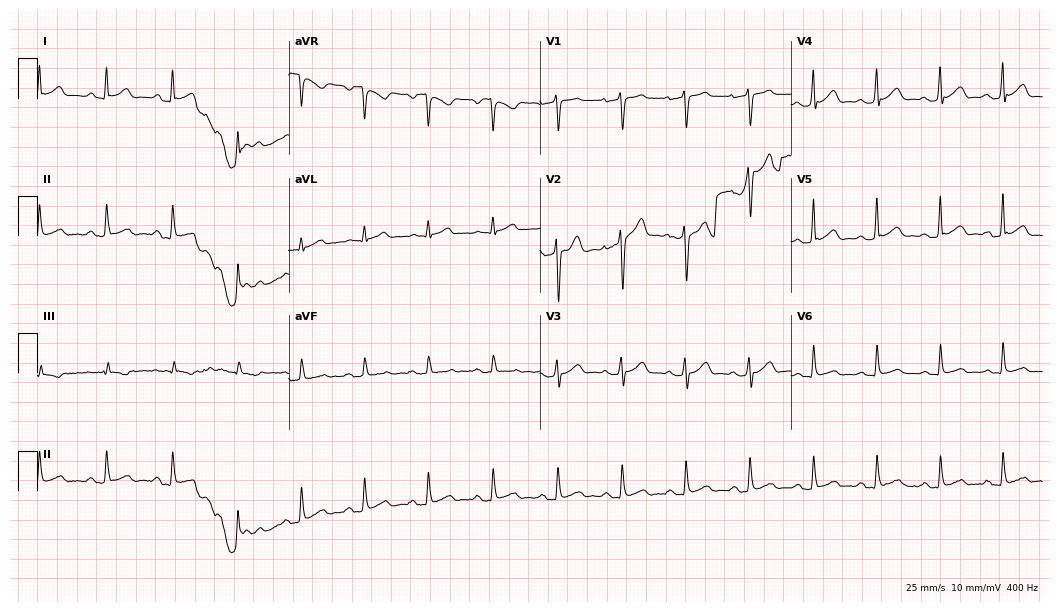
Electrocardiogram, a man, 37 years old. Overall reading on record: normal ECG.